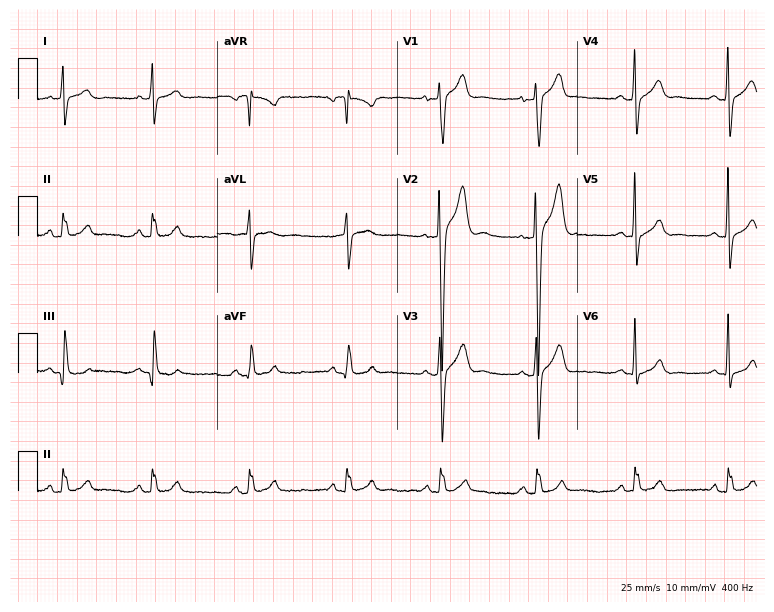
Standard 12-lead ECG recorded from a 26-year-old male patient. Read as a normal ECG.